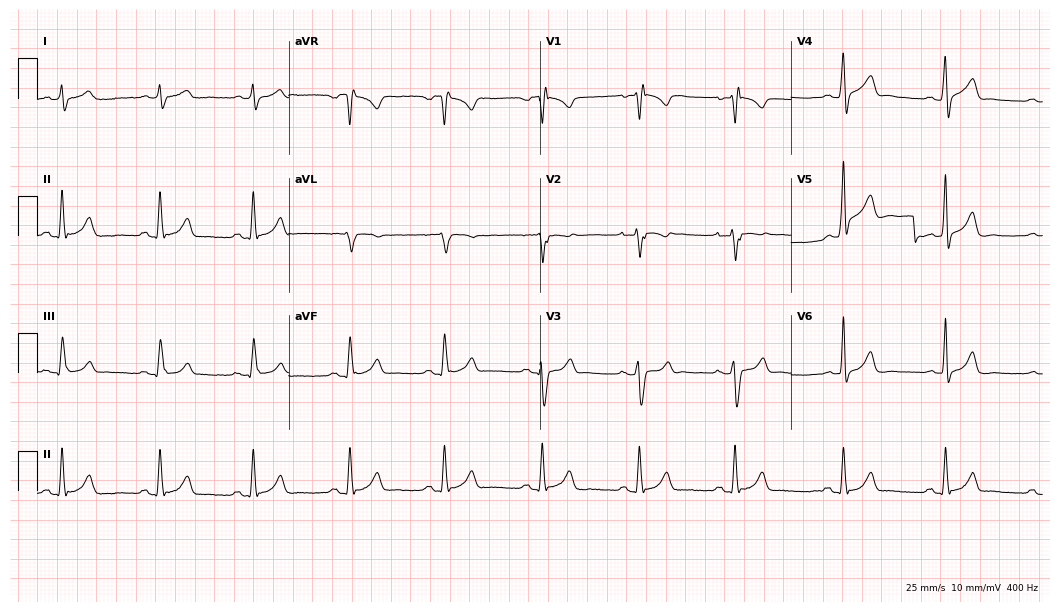
ECG (10.2-second recording at 400 Hz) — a 31-year-old man. Screened for six findings — first-degree AV block, right bundle branch block (RBBB), left bundle branch block (LBBB), sinus bradycardia, atrial fibrillation (AF), sinus tachycardia — none is recorded. Only these six findings were labelled.